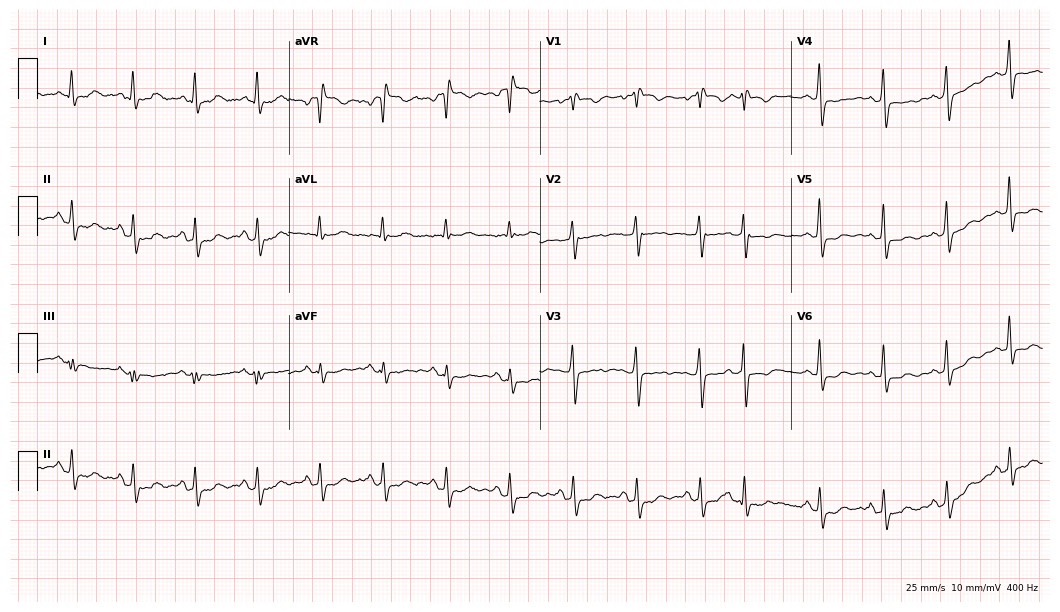
Standard 12-lead ECG recorded from a woman, 46 years old. The tracing shows right bundle branch block.